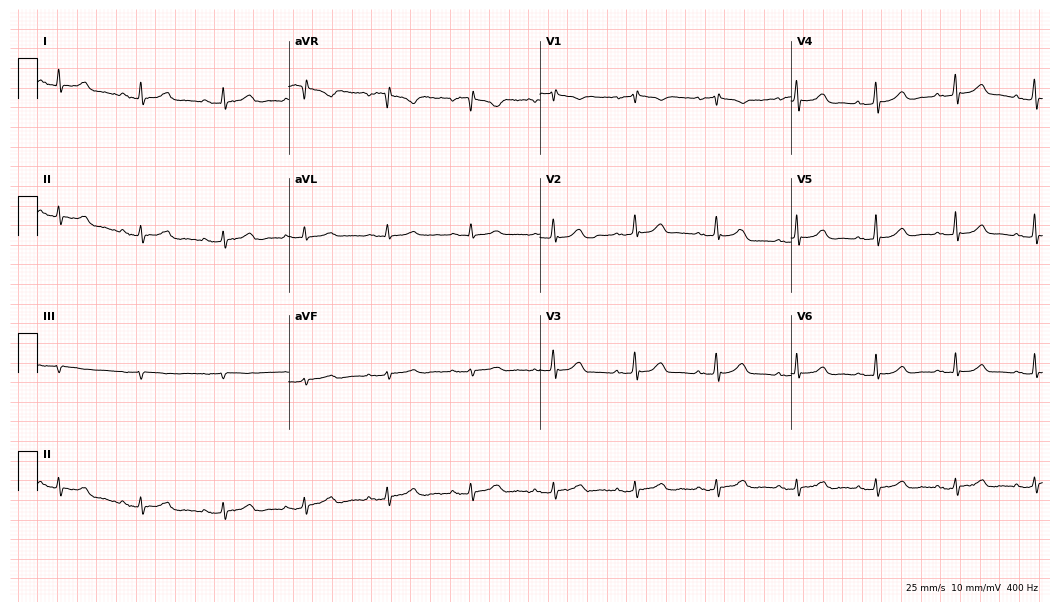
Standard 12-lead ECG recorded from a 70-year-old female patient (10.2-second recording at 400 Hz). Read as a normal ECG.